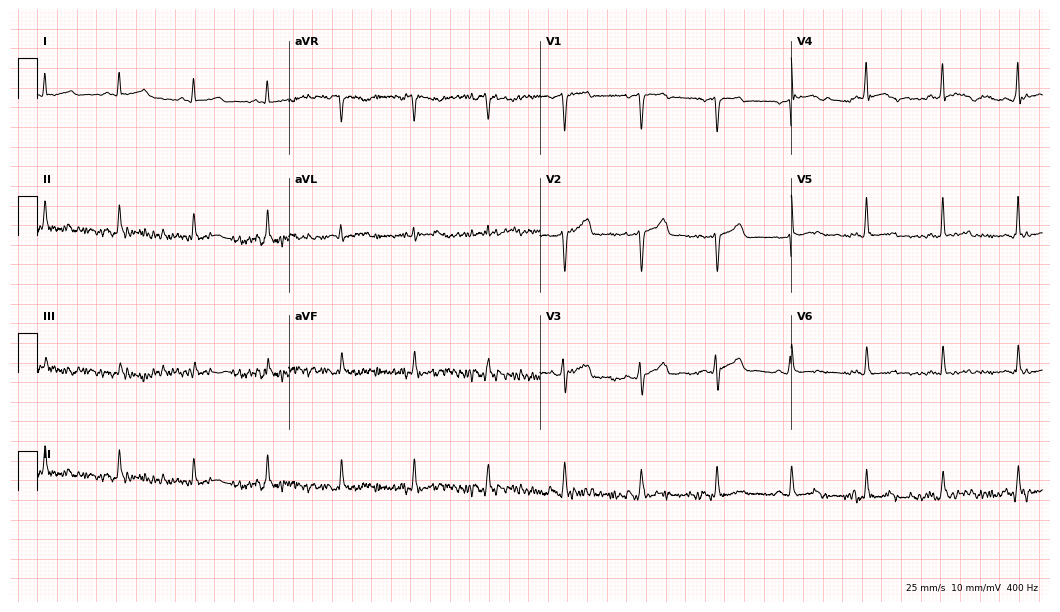
12-lead ECG from a male, 42 years old. No first-degree AV block, right bundle branch block, left bundle branch block, sinus bradycardia, atrial fibrillation or sinus tachycardia recorded for this tracing.